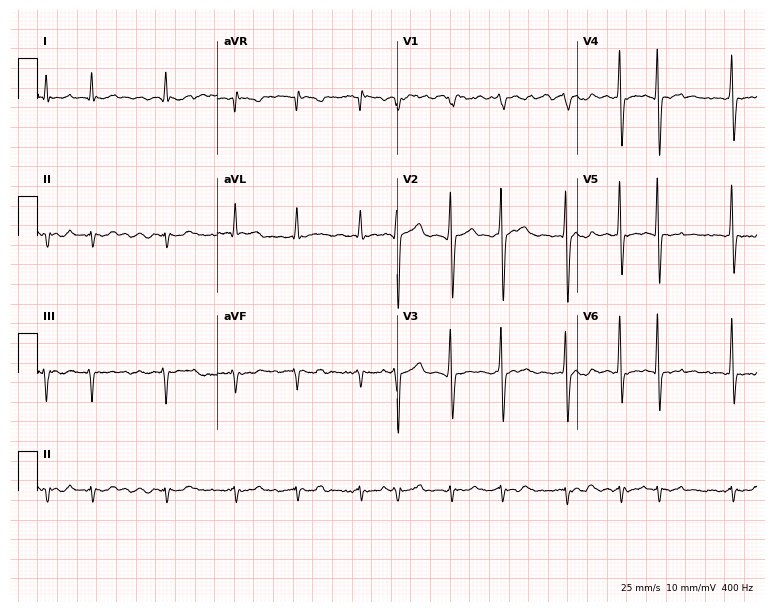
12-lead ECG from a male, 56 years old. Shows atrial fibrillation.